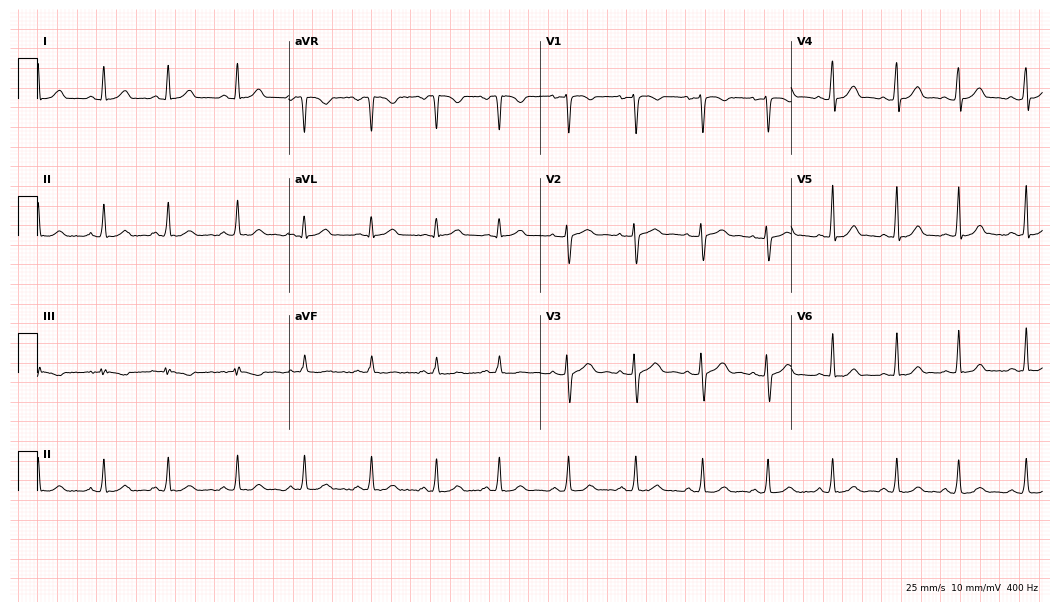
ECG (10.2-second recording at 400 Hz) — a 25-year-old female patient. Labelled as a normal ECG.